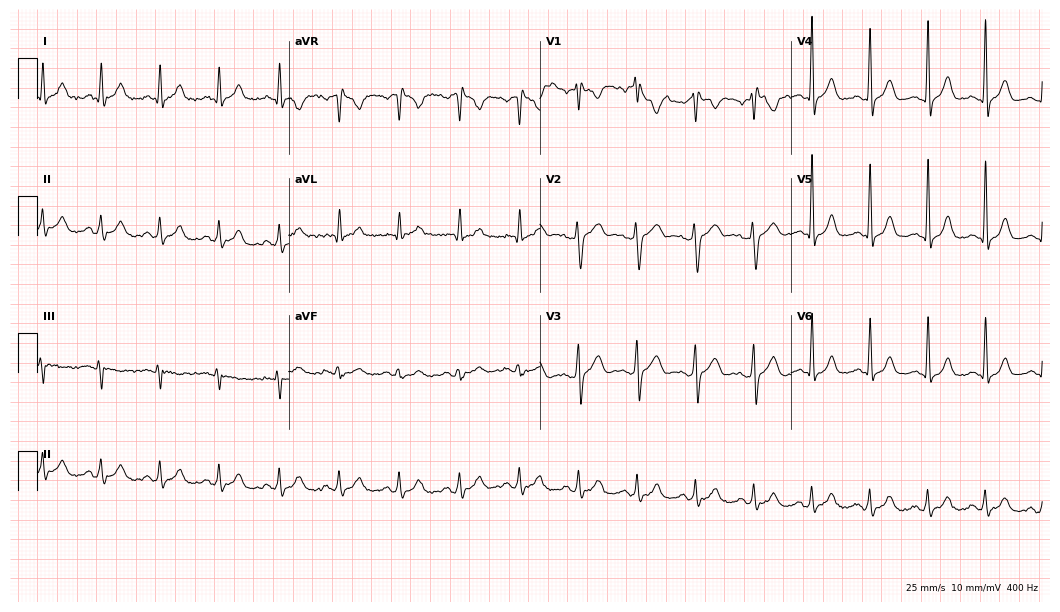
ECG (10.2-second recording at 400 Hz) — a male, 32 years old. Screened for six findings — first-degree AV block, right bundle branch block, left bundle branch block, sinus bradycardia, atrial fibrillation, sinus tachycardia — none is recorded. Only these six findings were labelled.